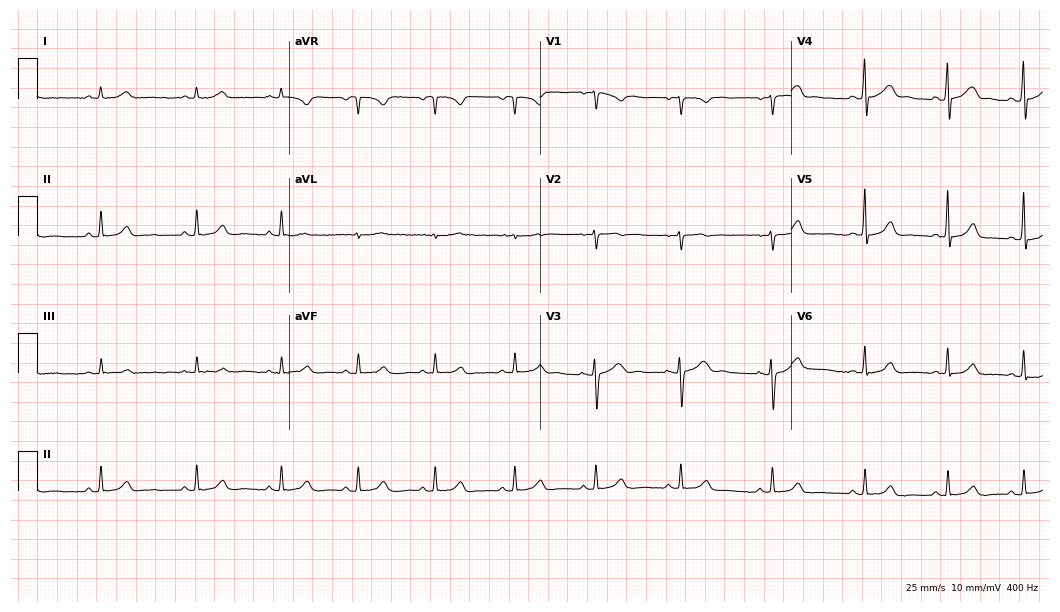
ECG — a 34-year-old female. Labelled as a normal ECG.